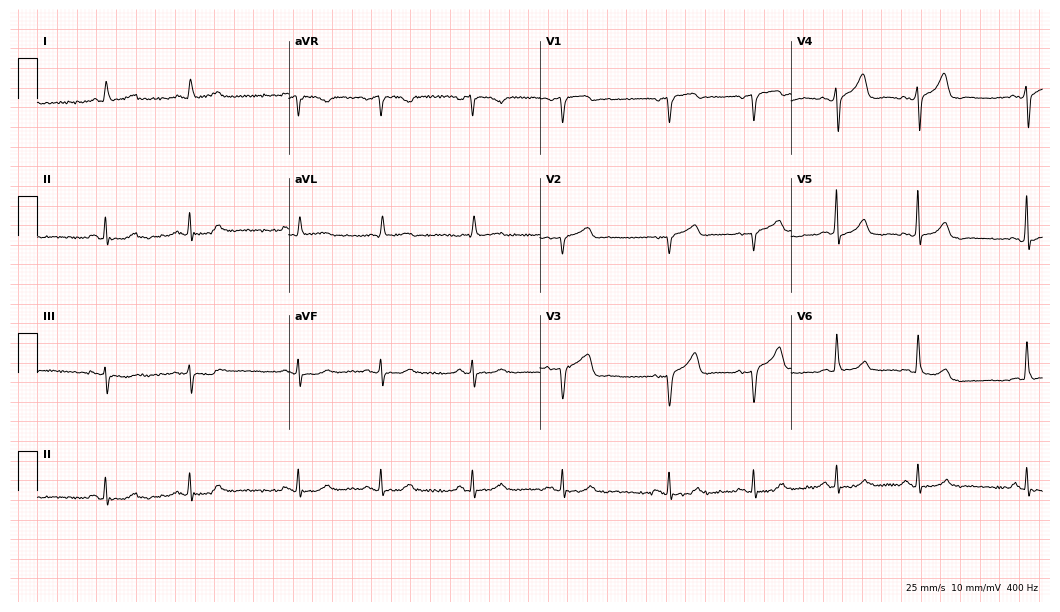
12-lead ECG (10.2-second recording at 400 Hz) from a male patient, 70 years old. Labelled as a normal ECG.